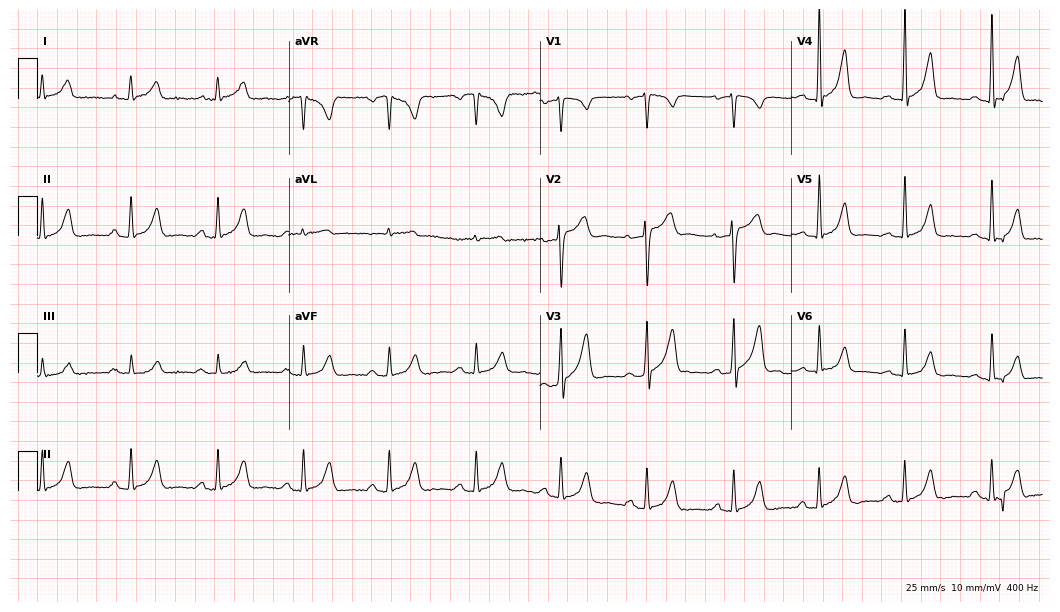
Standard 12-lead ECG recorded from a man, 54 years old (10.2-second recording at 400 Hz). Read as a normal ECG.